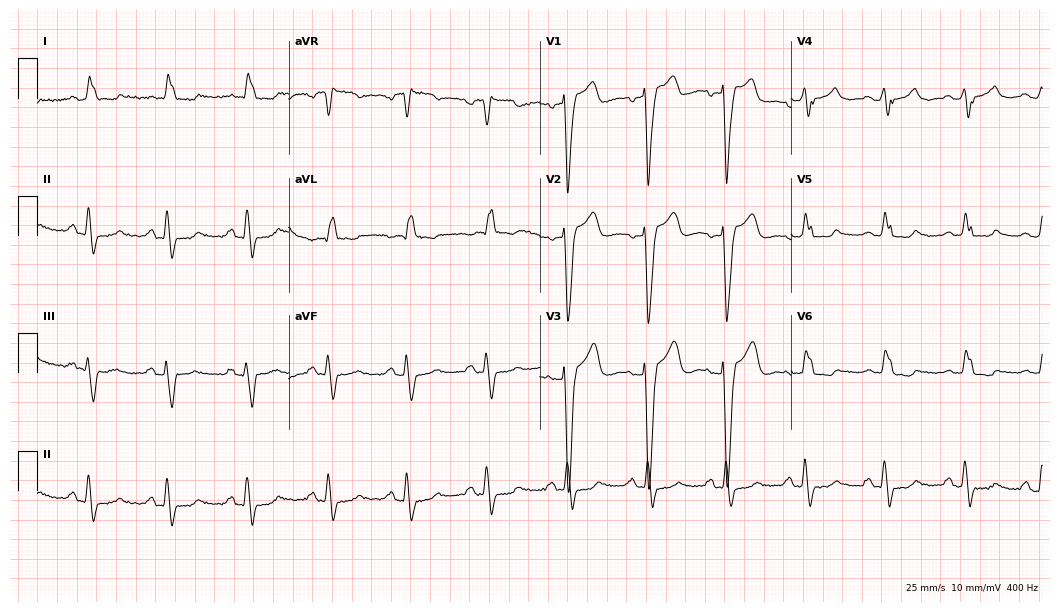
Electrocardiogram, a 78-year-old woman. Interpretation includes left bundle branch block.